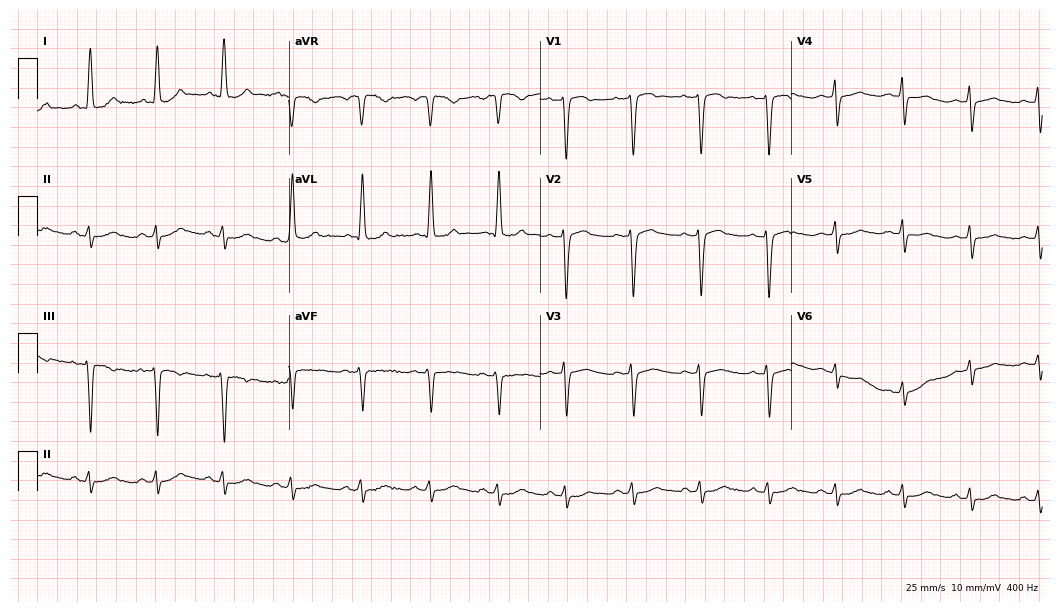
12-lead ECG from a female patient, 69 years old. Screened for six findings — first-degree AV block, right bundle branch block (RBBB), left bundle branch block (LBBB), sinus bradycardia, atrial fibrillation (AF), sinus tachycardia — none is recorded.